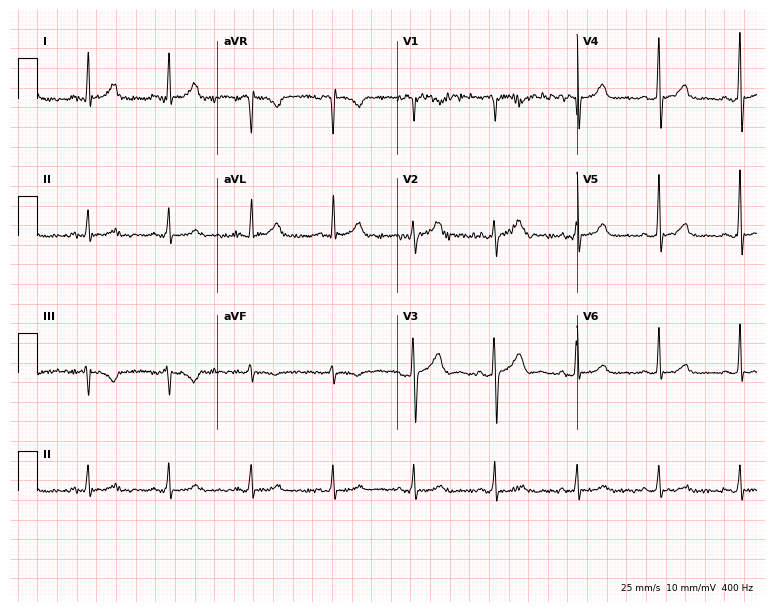
12-lead ECG from a female, 52 years old. Labelled as a normal ECG.